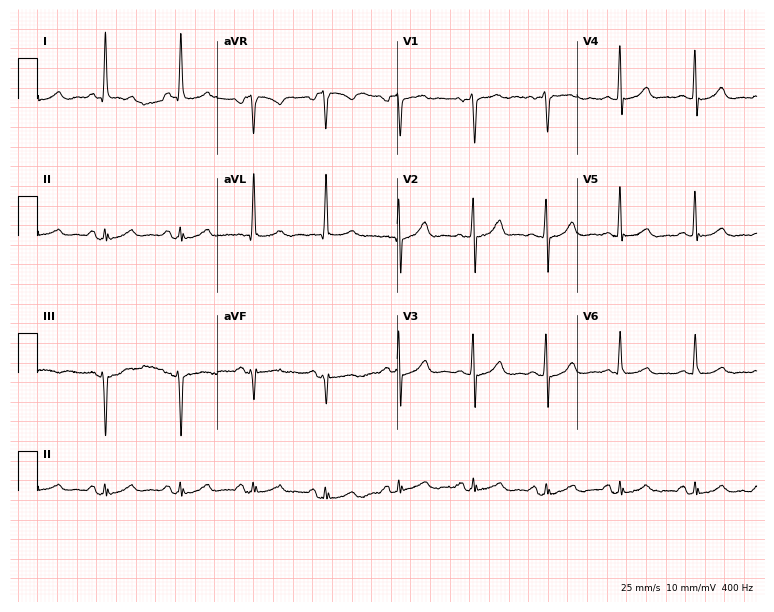
12-lead ECG from a woman, 71 years old. Labelled as a normal ECG.